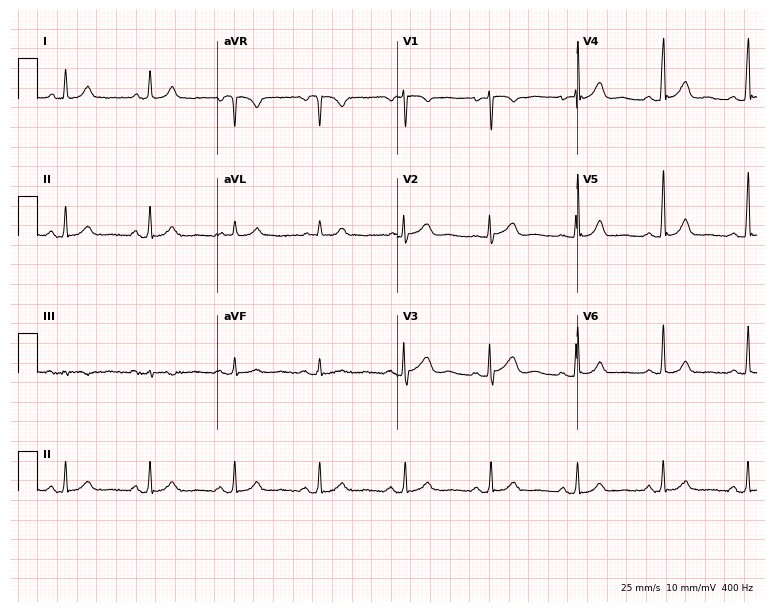
Electrocardiogram (7.3-second recording at 400 Hz), a female, 41 years old. Overall reading on record: normal ECG.